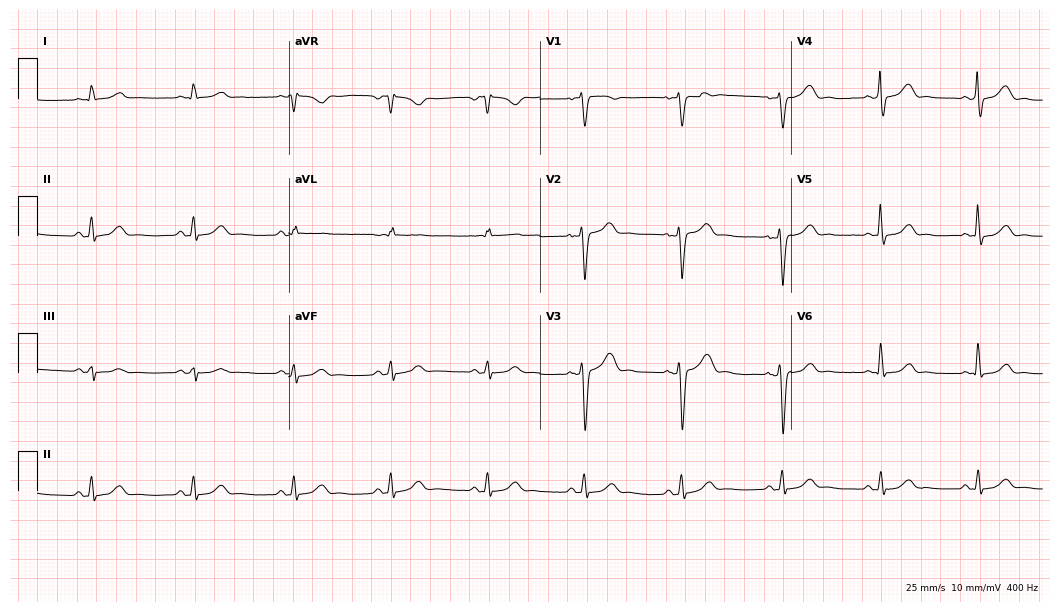
Resting 12-lead electrocardiogram (10.2-second recording at 400 Hz). Patient: a 54-year-old man. Read as a normal ECG.